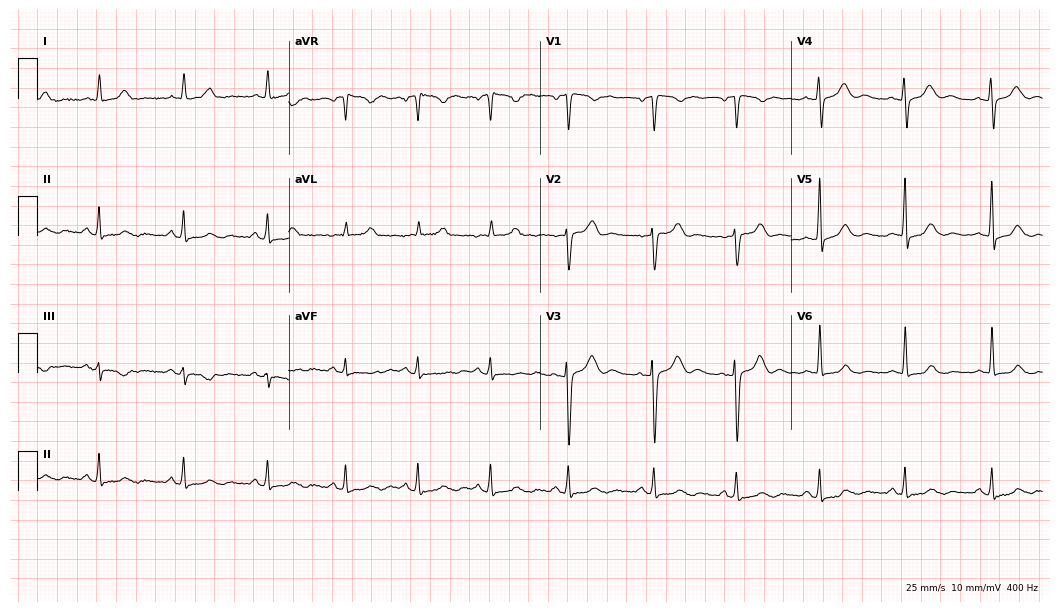
Electrocardiogram (10.2-second recording at 400 Hz), a female patient, 37 years old. Overall reading on record: normal ECG.